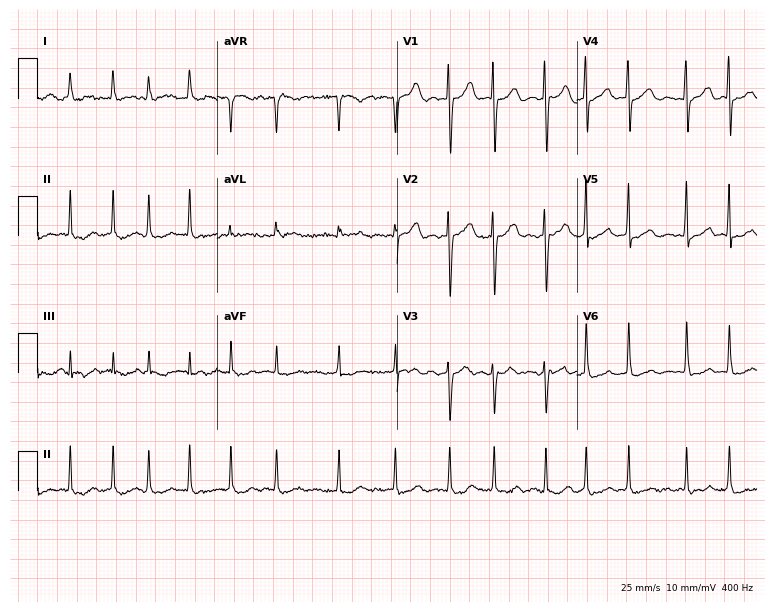
Standard 12-lead ECG recorded from a 64-year-old female. The tracing shows atrial fibrillation.